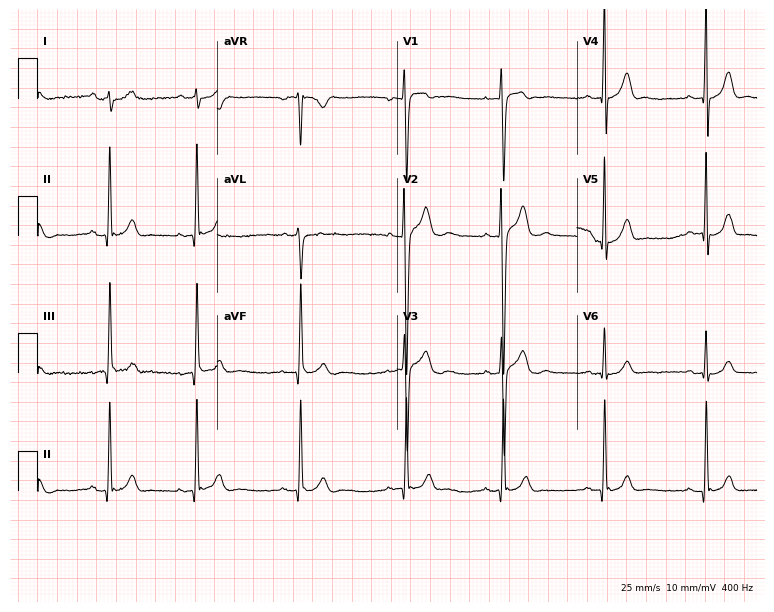
ECG (7.3-second recording at 400 Hz) — a 17-year-old male. Screened for six findings — first-degree AV block, right bundle branch block, left bundle branch block, sinus bradycardia, atrial fibrillation, sinus tachycardia — none is recorded.